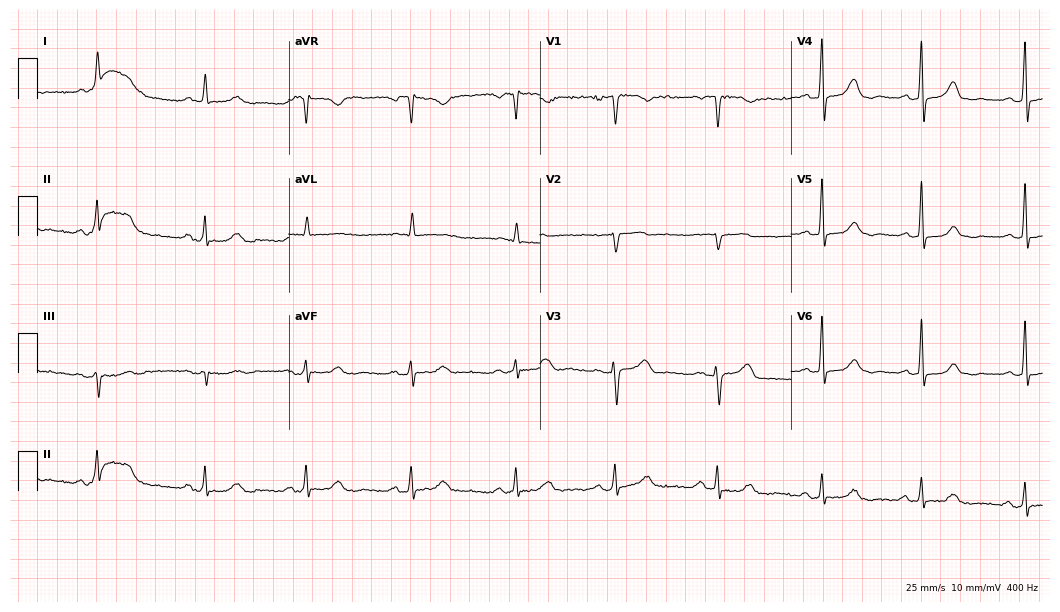
ECG — a 63-year-old woman. Labelled as a normal ECG.